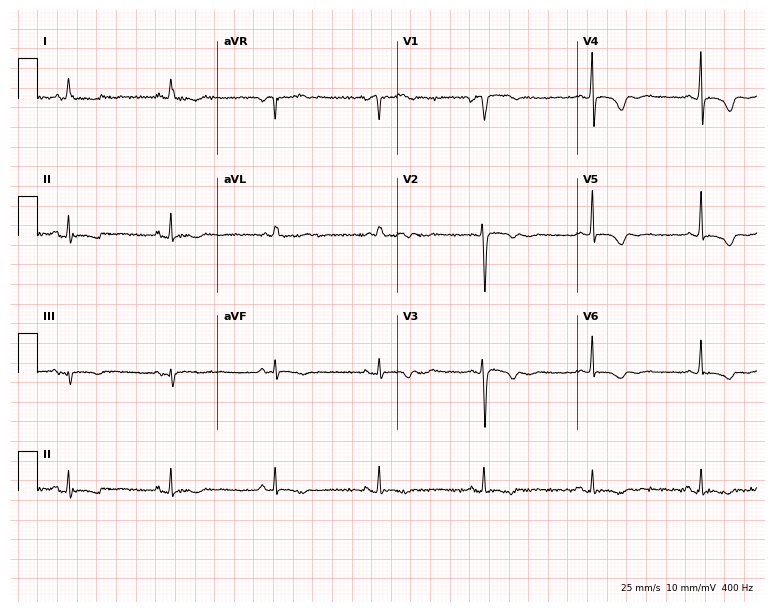
12-lead ECG from a female, 84 years old (7.3-second recording at 400 Hz). No first-degree AV block, right bundle branch block (RBBB), left bundle branch block (LBBB), sinus bradycardia, atrial fibrillation (AF) or sinus tachycardia recorded for this tracing. Other findings, if any, are not listed.